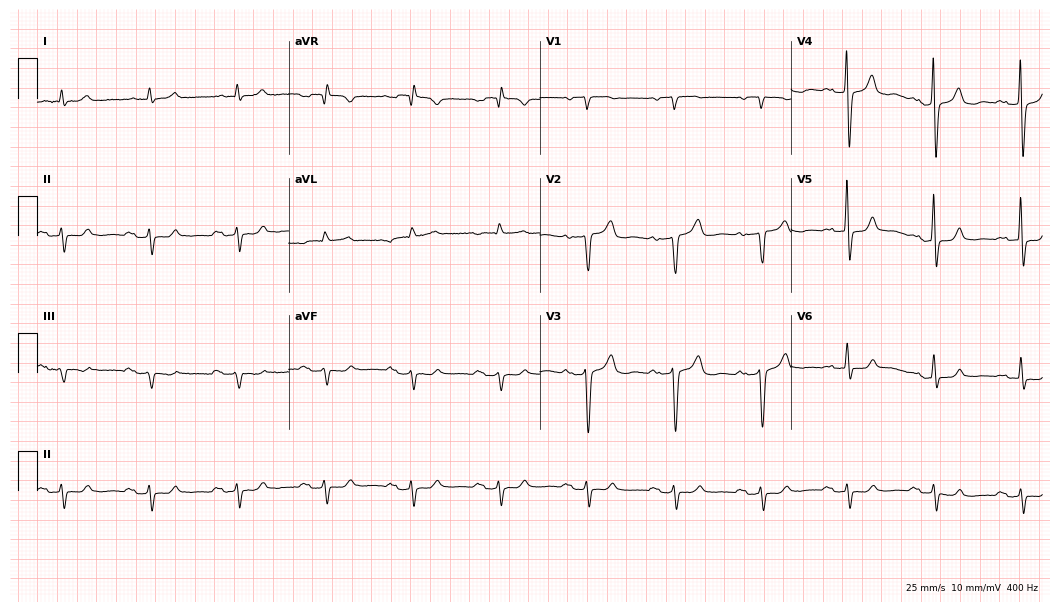
ECG (10.2-second recording at 400 Hz) — a 77-year-old male patient. Screened for six findings — first-degree AV block, right bundle branch block, left bundle branch block, sinus bradycardia, atrial fibrillation, sinus tachycardia — none is recorded. Other findings, if any, are not listed.